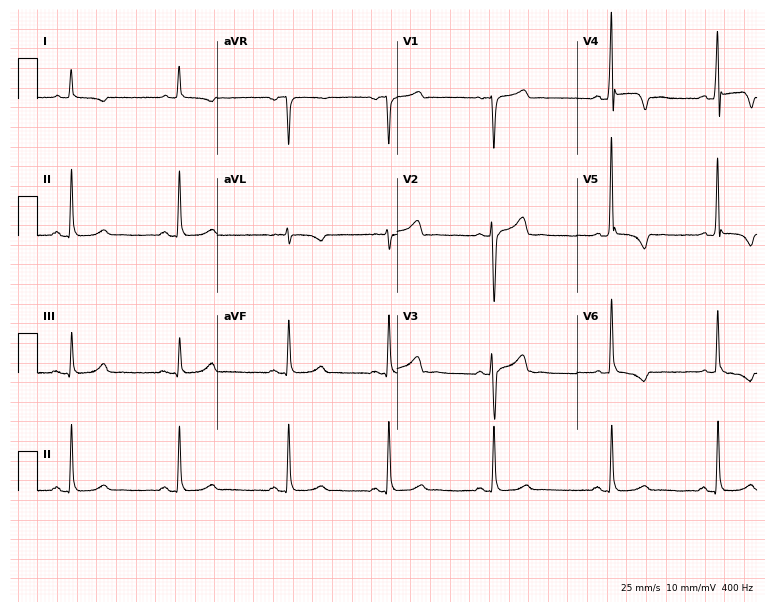
Standard 12-lead ECG recorded from a 57-year-old man (7.3-second recording at 400 Hz). None of these six findings is recorded: first-degree AV block, right bundle branch block, left bundle branch block, sinus bradycardia, atrial fibrillation, sinus tachycardia.